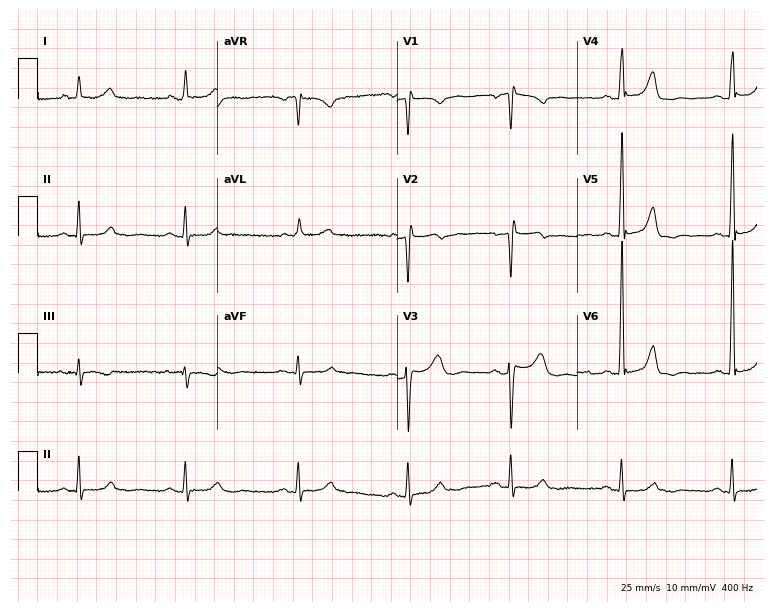
Standard 12-lead ECG recorded from a female, 69 years old (7.3-second recording at 400 Hz). None of these six findings is recorded: first-degree AV block, right bundle branch block (RBBB), left bundle branch block (LBBB), sinus bradycardia, atrial fibrillation (AF), sinus tachycardia. Findings outside these six are not listed.